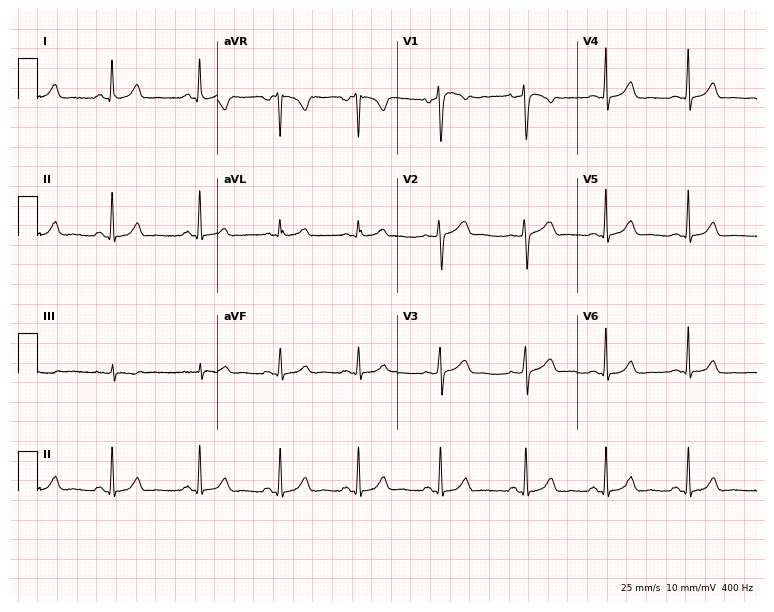
Electrocardiogram, a female, 34 years old. Of the six screened findings (first-degree AV block, right bundle branch block, left bundle branch block, sinus bradycardia, atrial fibrillation, sinus tachycardia), none is recorded.